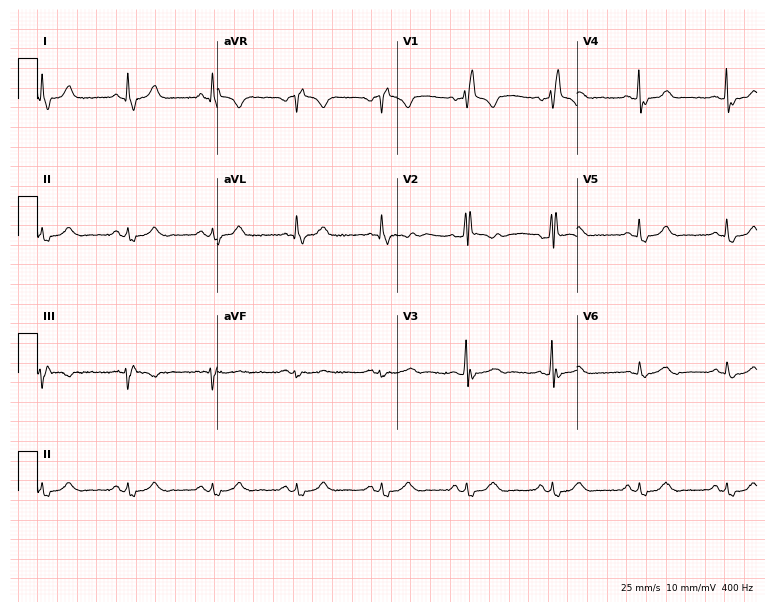
Standard 12-lead ECG recorded from a man, 65 years old (7.3-second recording at 400 Hz). The tracing shows right bundle branch block.